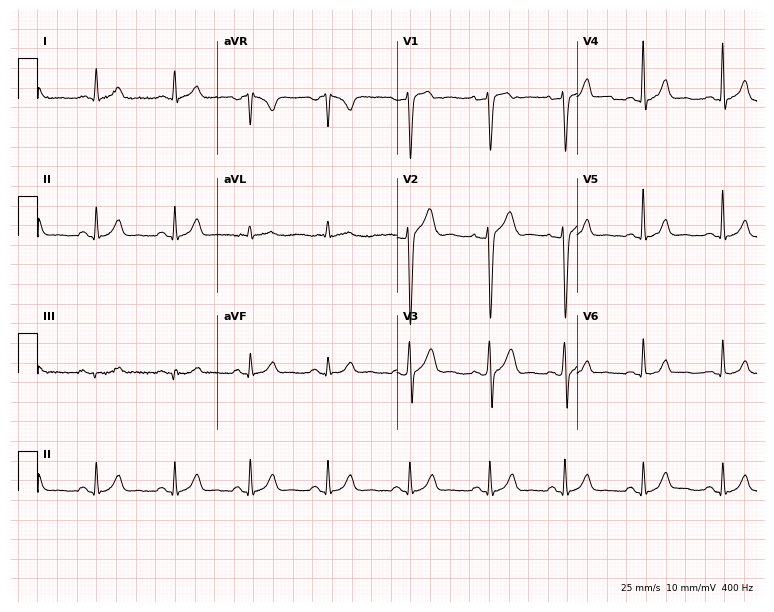
ECG — a male, 33 years old. Screened for six findings — first-degree AV block, right bundle branch block (RBBB), left bundle branch block (LBBB), sinus bradycardia, atrial fibrillation (AF), sinus tachycardia — none is recorded. Only these six findings were labelled.